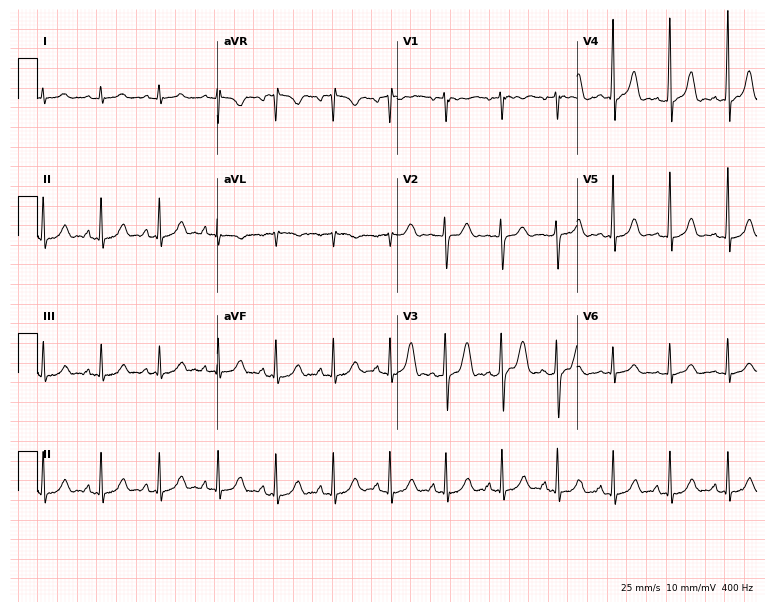
Standard 12-lead ECG recorded from a female, 27 years old (7.3-second recording at 400 Hz). None of these six findings is recorded: first-degree AV block, right bundle branch block (RBBB), left bundle branch block (LBBB), sinus bradycardia, atrial fibrillation (AF), sinus tachycardia.